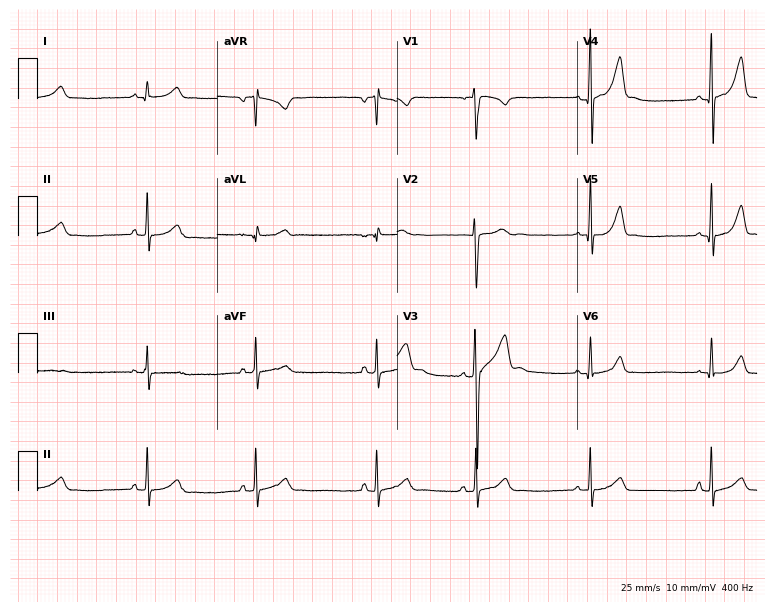
Resting 12-lead electrocardiogram (7.3-second recording at 400 Hz). Patient: a male, 18 years old. Read as a normal ECG.